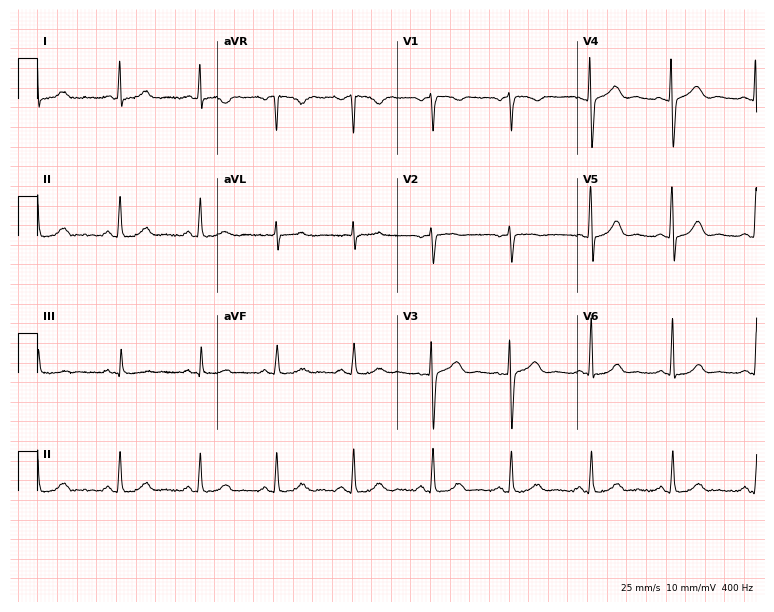
Standard 12-lead ECG recorded from a 28-year-old female patient. Read as a normal ECG.